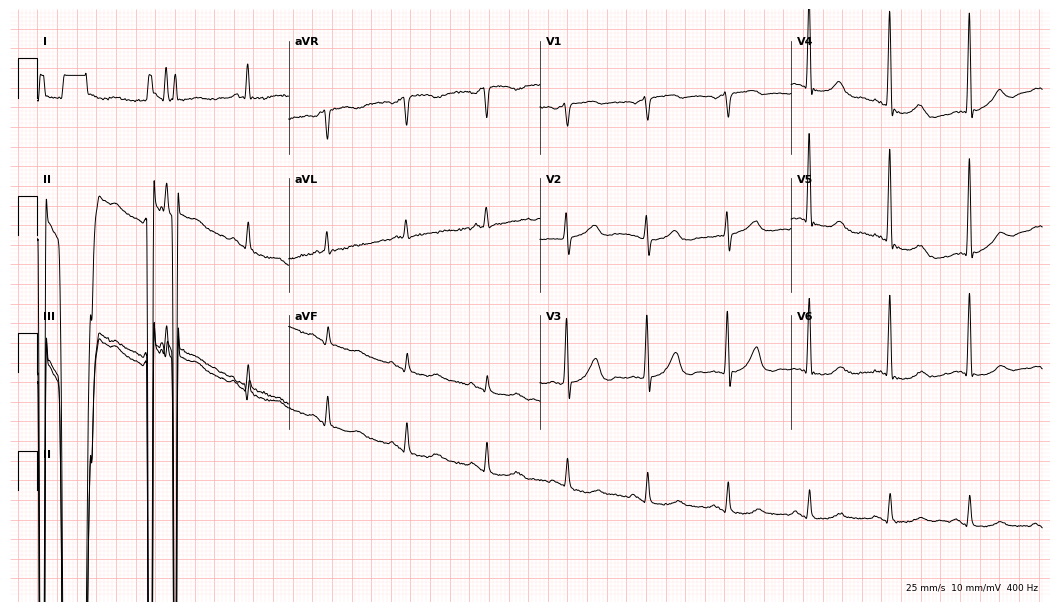
Electrocardiogram (10.2-second recording at 400 Hz), an 81-year-old male patient. Of the six screened findings (first-degree AV block, right bundle branch block, left bundle branch block, sinus bradycardia, atrial fibrillation, sinus tachycardia), none is recorded.